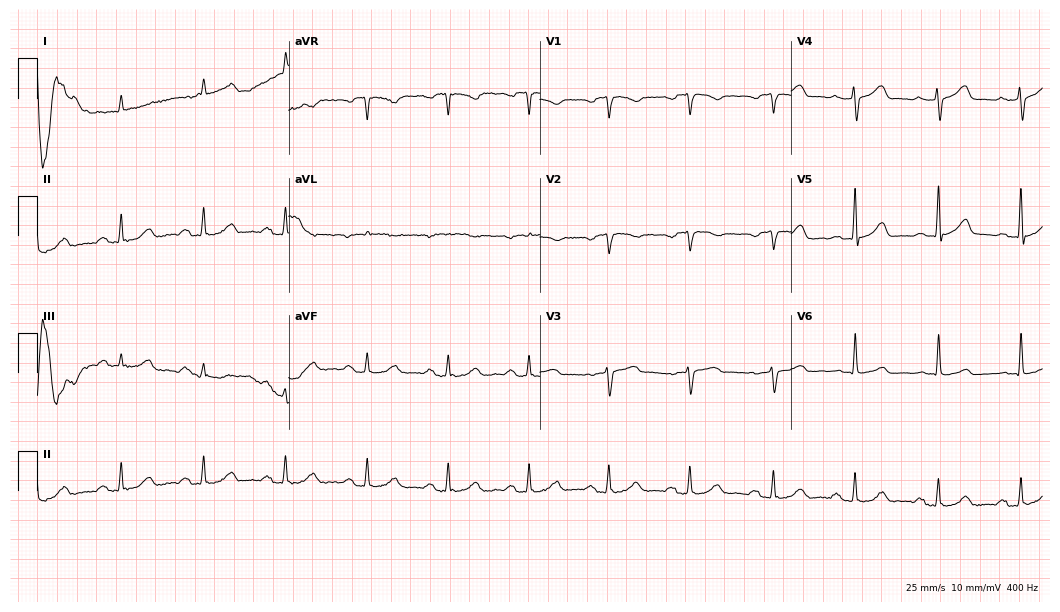
12-lead ECG from an 82-year-old male (10.2-second recording at 400 Hz). Shows first-degree AV block.